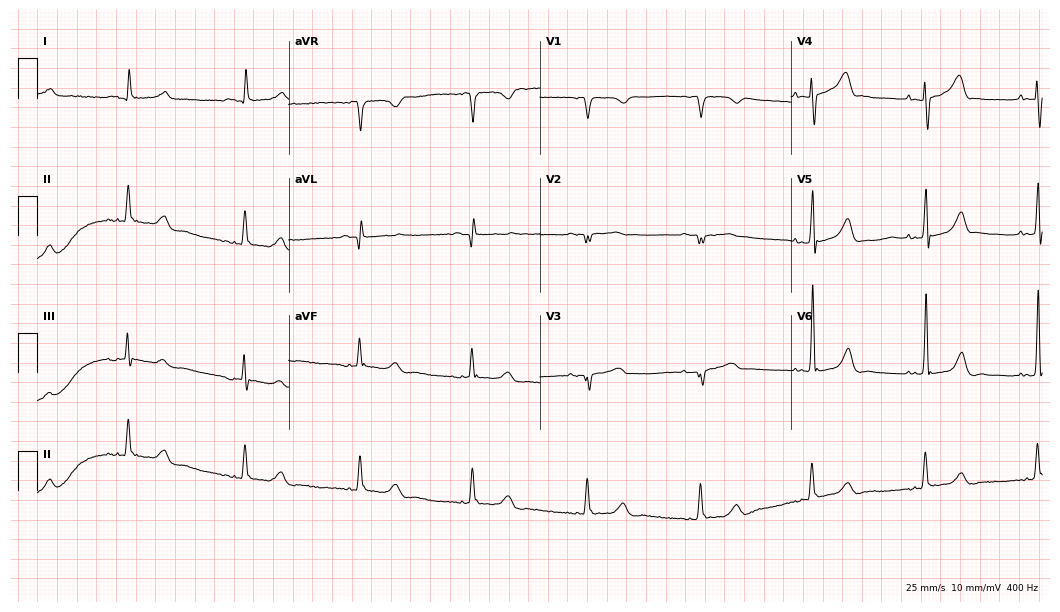
Resting 12-lead electrocardiogram (10.2-second recording at 400 Hz). Patient: a 71-year-old man. None of these six findings is recorded: first-degree AV block, right bundle branch block, left bundle branch block, sinus bradycardia, atrial fibrillation, sinus tachycardia. Only these six findings were labelled.